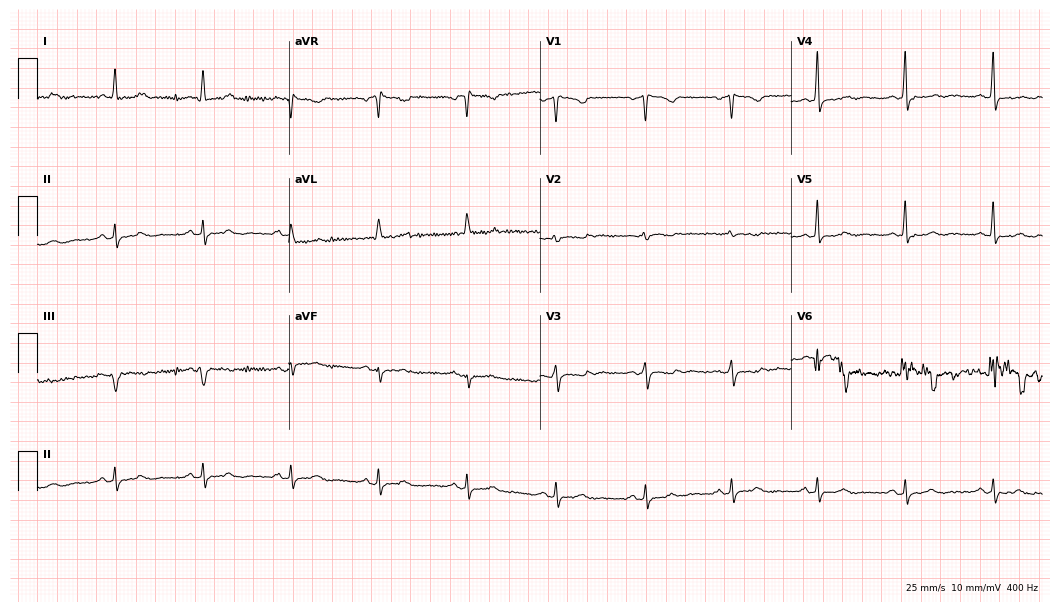
Standard 12-lead ECG recorded from a 48-year-old female patient. None of these six findings is recorded: first-degree AV block, right bundle branch block, left bundle branch block, sinus bradycardia, atrial fibrillation, sinus tachycardia. Findings outside these six are not listed.